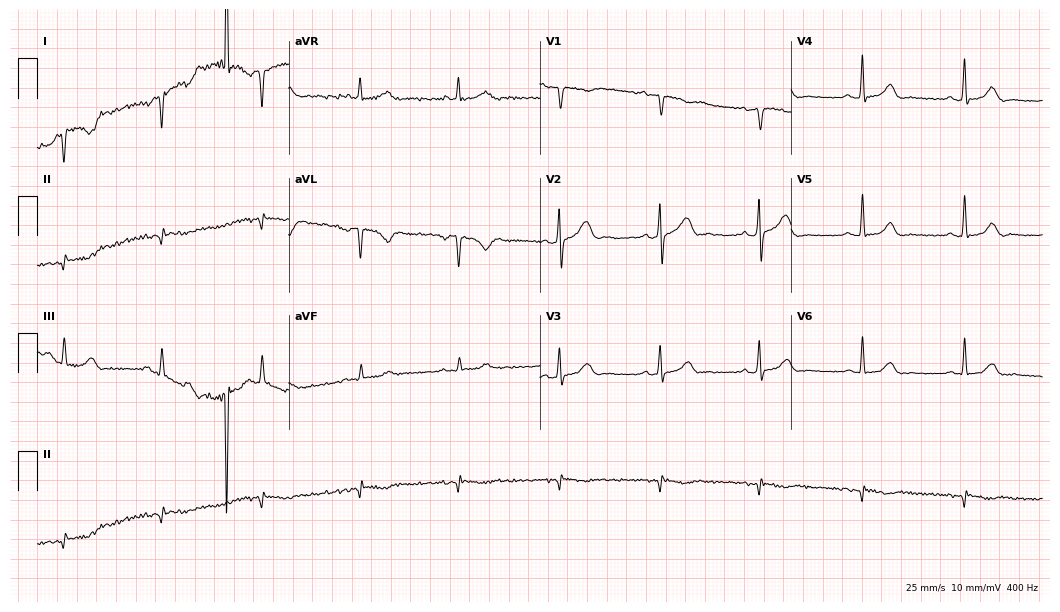
12-lead ECG from a male, 53 years old. No first-degree AV block, right bundle branch block (RBBB), left bundle branch block (LBBB), sinus bradycardia, atrial fibrillation (AF) or sinus tachycardia recorded for this tracing.